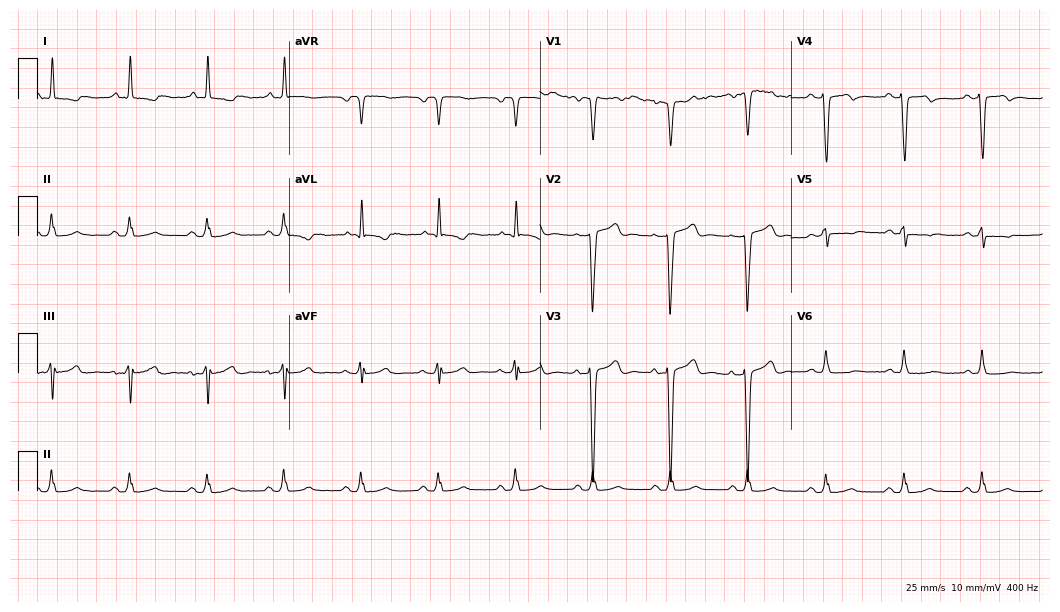
12-lead ECG from a 45-year-old male. No first-degree AV block, right bundle branch block (RBBB), left bundle branch block (LBBB), sinus bradycardia, atrial fibrillation (AF) or sinus tachycardia recorded for this tracing.